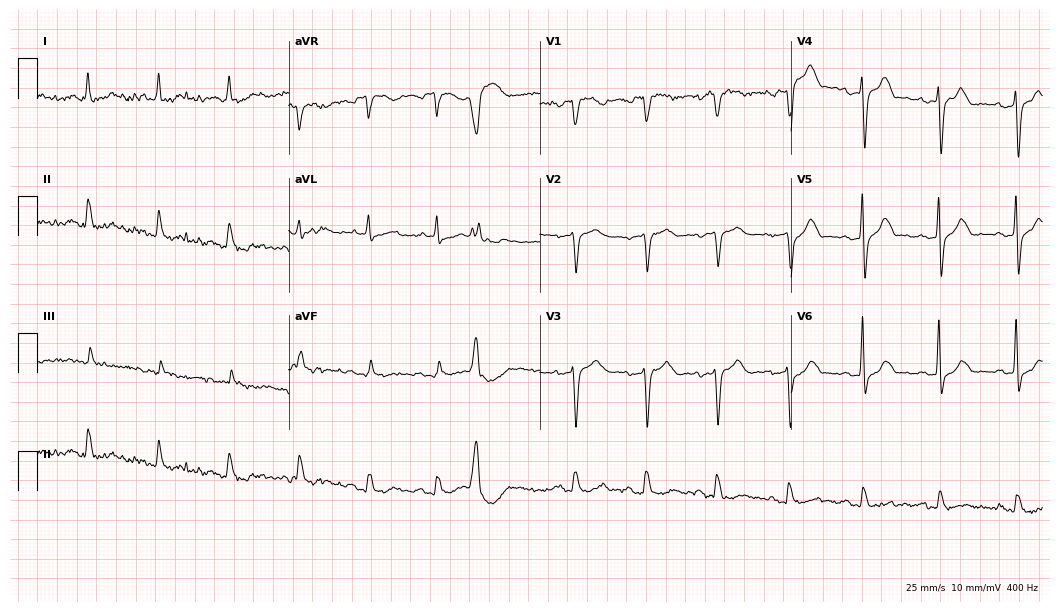
ECG (10.2-second recording at 400 Hz) — a male patient, 84 years old. Screened for six findings — first-degree AV block, right bundle branch block, left bundle branch block, sinus bradycardia, atrial fibrillation, sinus tachycardia — none is recorded. Other findings, if any, are not listed.